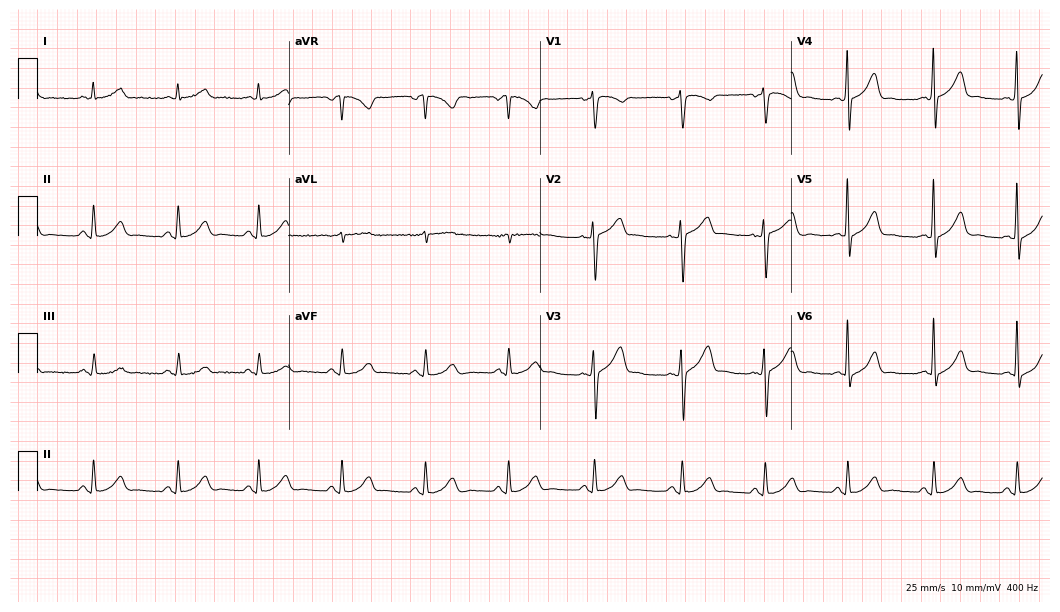
Electrocardiogram (10.2-second recording at 400 Hz), a 44-year-old male patient. Overall reading on record: normal ECG.